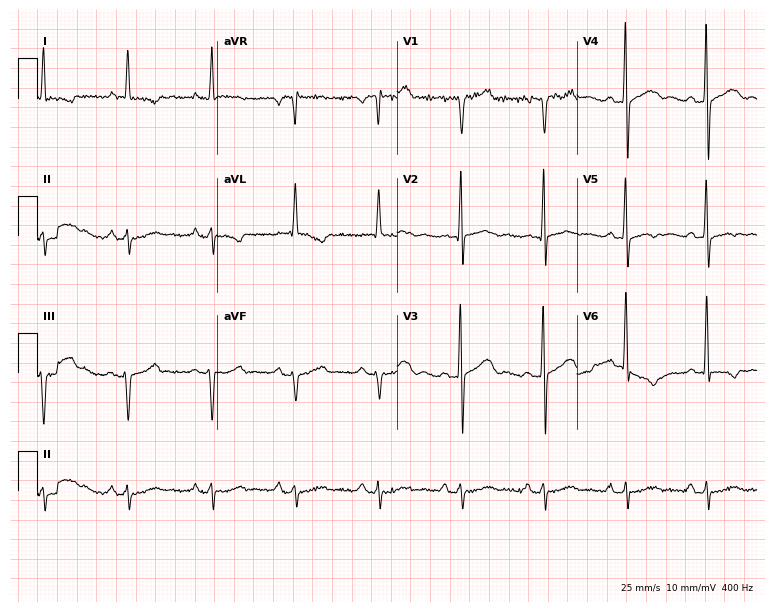
12-lead ECG (7.3-second recording at 400 Hz) from a 76-year-old male patient. Screened for six findings — first-degree AV block, right bundle branch block (RBBB), left bundle branch block (LBBB), sinus bradycardia, atrial fibrillation (AF), sinus tachycardia — none is recorded.